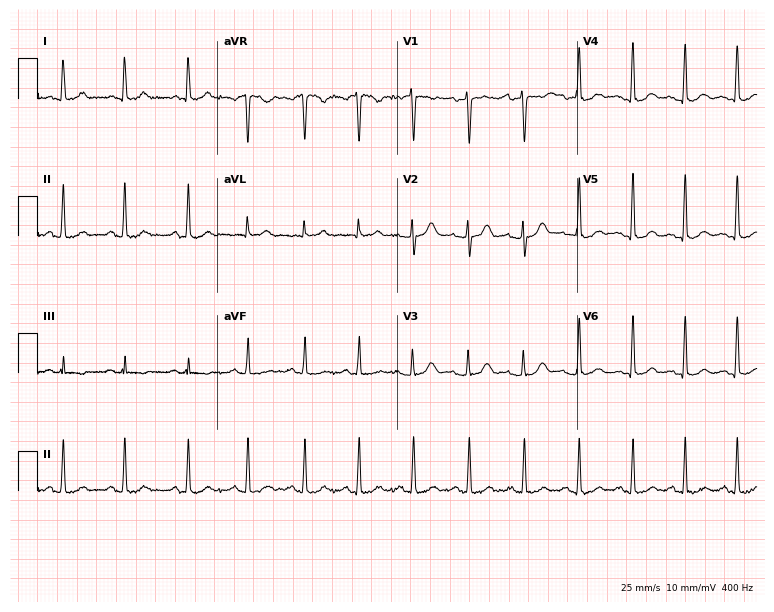
12-lead ECG from a 39-year-old female (7.3-second recording at 400 Hz). Shows sinus tachycardia (a sinus rate of 100 beats per minute or more).